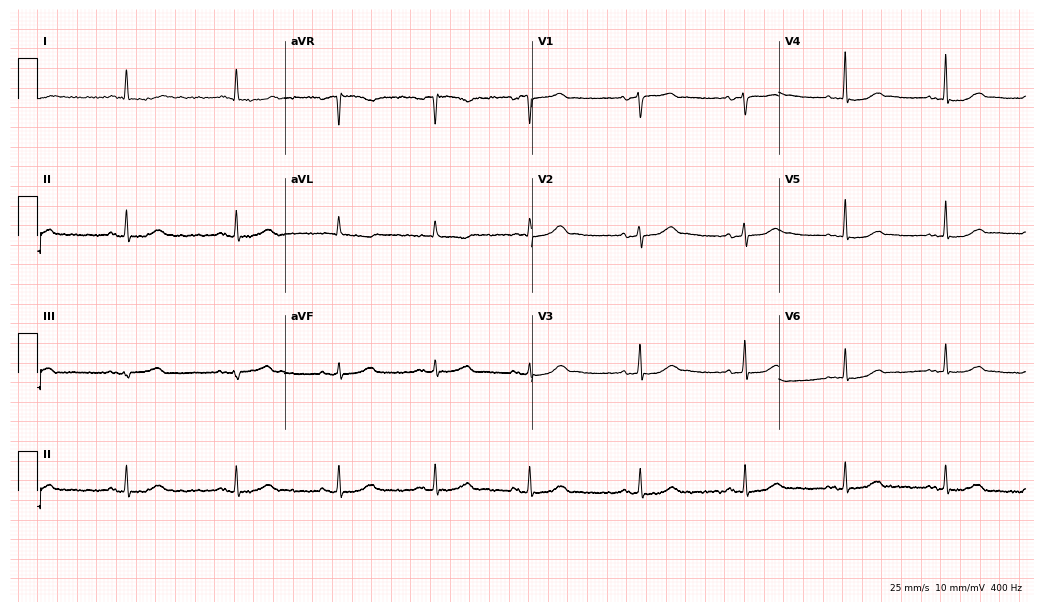
12-lead ECG from a woman, 75 years old. Screened for six findings — first-degree AV block, right bundle branch block, left bundle branch block, sinus bradycardia, atrial fibrillation, sinus tachycardia — none is recorded. Findings outside these six are not listed.